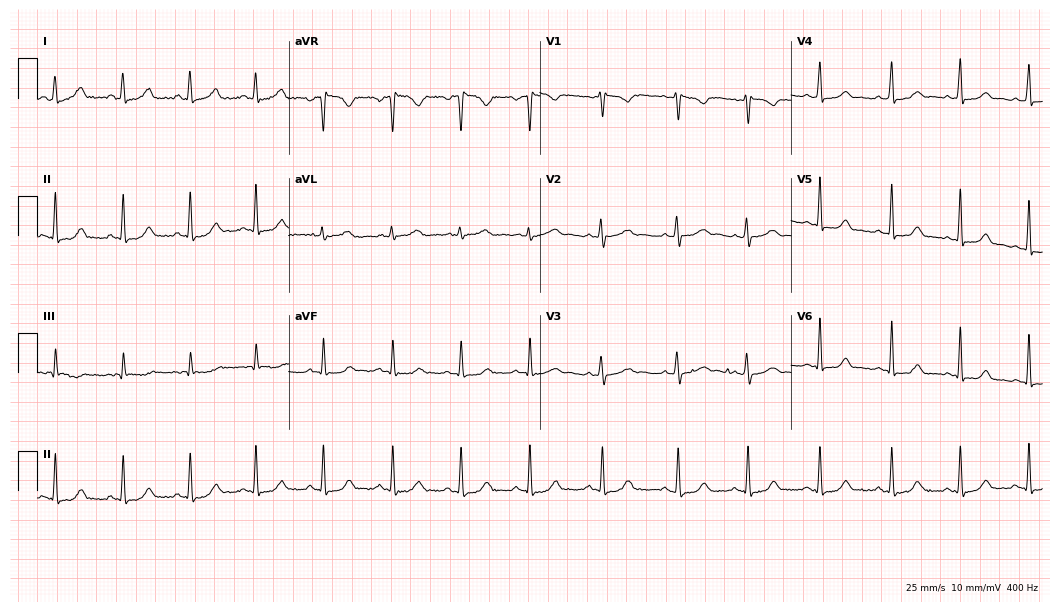
Standard 12-lead ECG recorded from a woman, 19 years old. None of these six findings is recorded: first-degree AV block, right bundle branch block, left bundle branch block, sinus bradycardia, atrial fibrillation, sinus tachycardia. Findings outside these six are not listed.